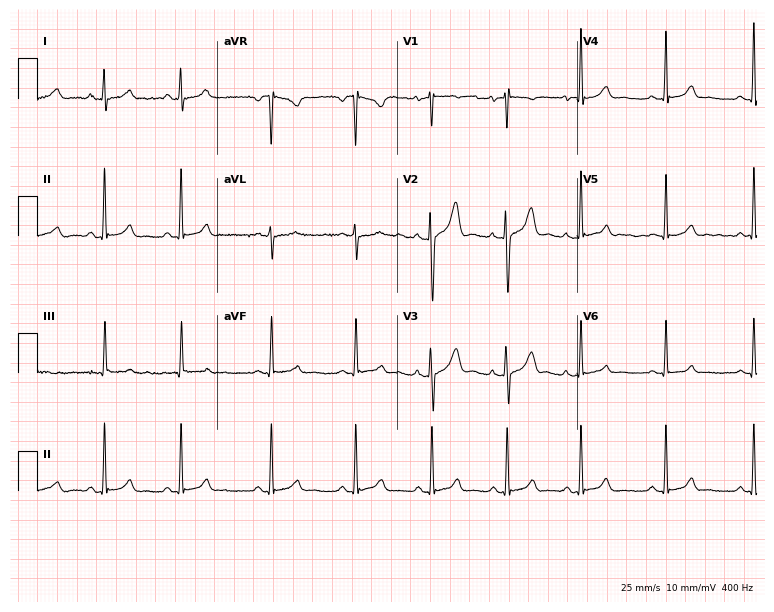
Electrocardiogram (7.3-second recording at 400 Hz), a 36-year-old female patient. Overall reading on record: normal ECG.